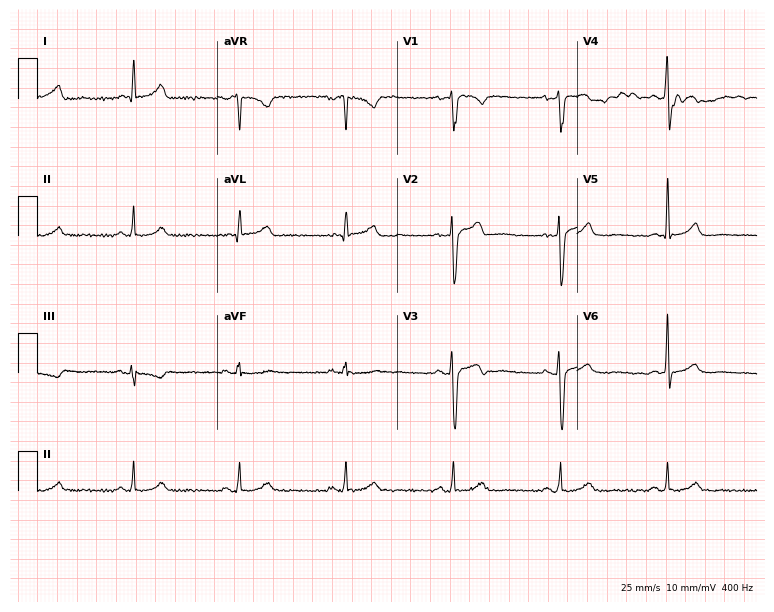
Electrocardiogram (7.3-second recording at 400 Hz), a male patient, 34 years old. Overall reading on record: normal ECG.